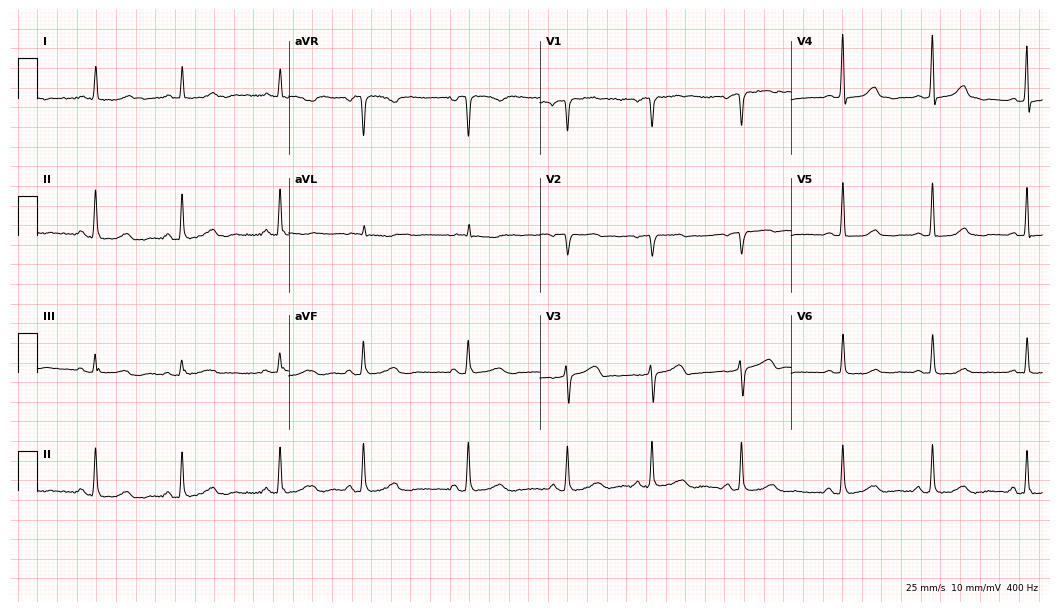
Resting 12-lead electrocardiogram. Patient: a 62-year-old female. Read as a normal ECG.